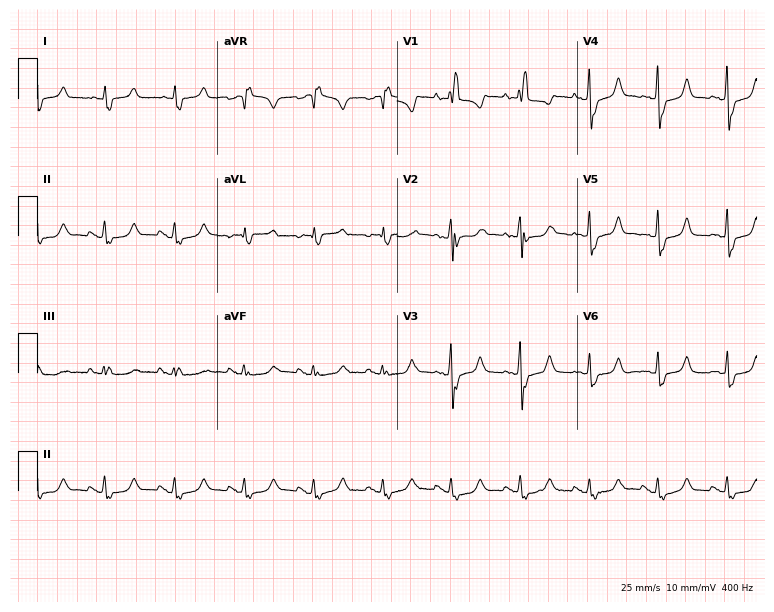
Electrocardiogram (7.3-second recording at 400 Hz), a female patient, 70 years old. Interpretation includes right bundle branch block.